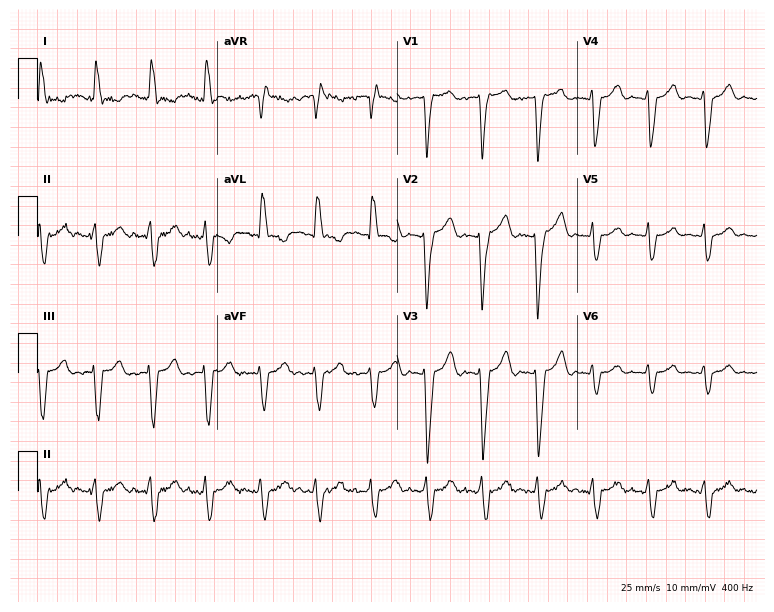
Electrocardiogram, a woman, 58 years old. Of the six screened findings (first-degree AV block, right bundle branch block (RBBB), left bundle branch block (LBBB), sinus bradycardia, atrial fibrillation (AF), sinus tachycardia), none is recorded. Only these six findings were labelled.